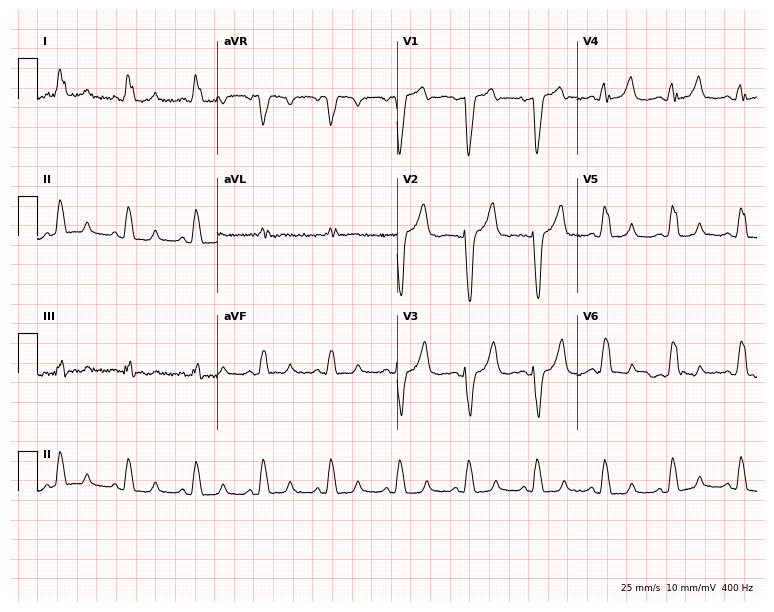
Standard 12-lead ECG recorded from a 61-year-old woman (7.3-second recording at 400 Hz). The tracing shows left bundle branch block.